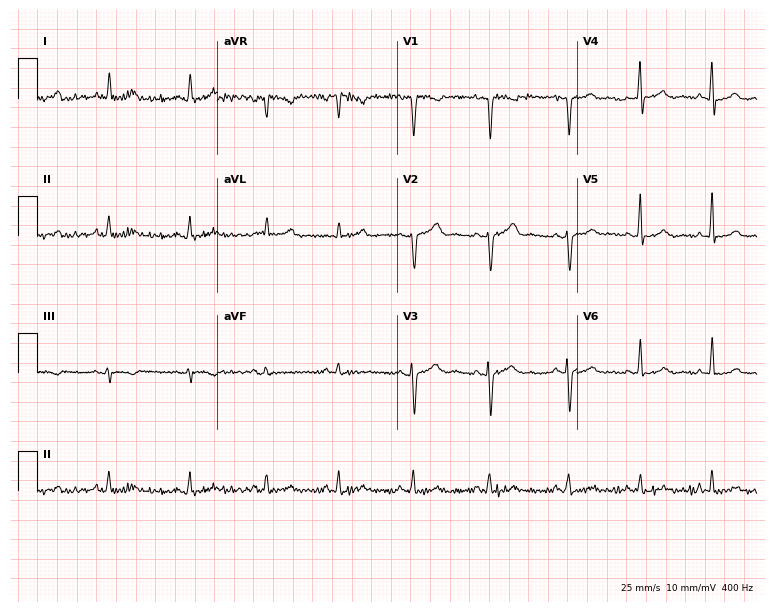
12-lead ECG from a 37-year-old woman. Labelled as a normal ECG.